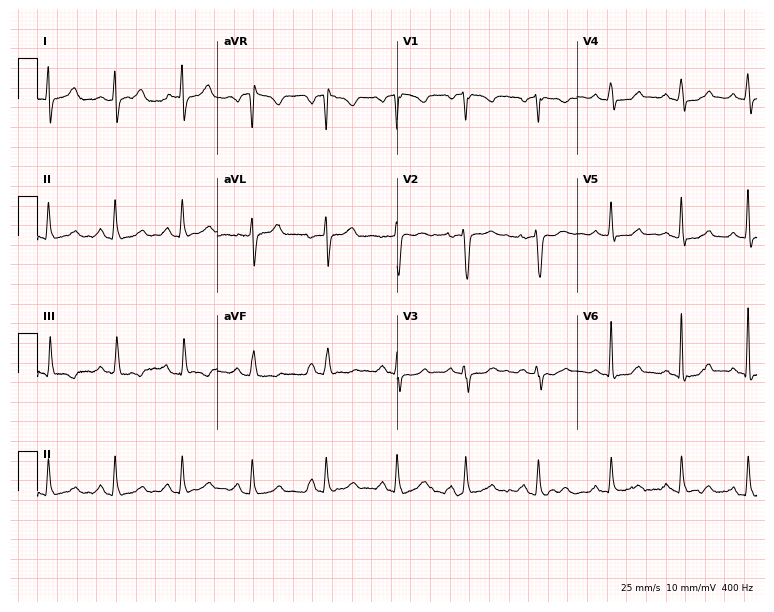
ECG (7.3-second recording at 400 Hz) — a 27-year-old woman. Labelled as a normal ECG.